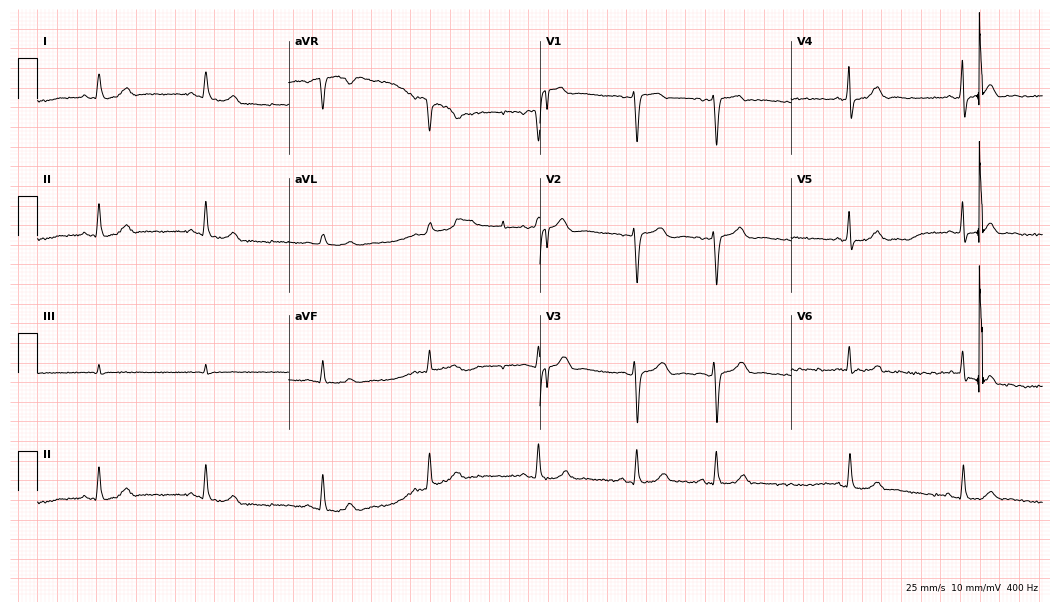
12-lead ECG (10.2-second recording at 400 Hz) from a 42-year-old female. Labelled as a normal ECG.